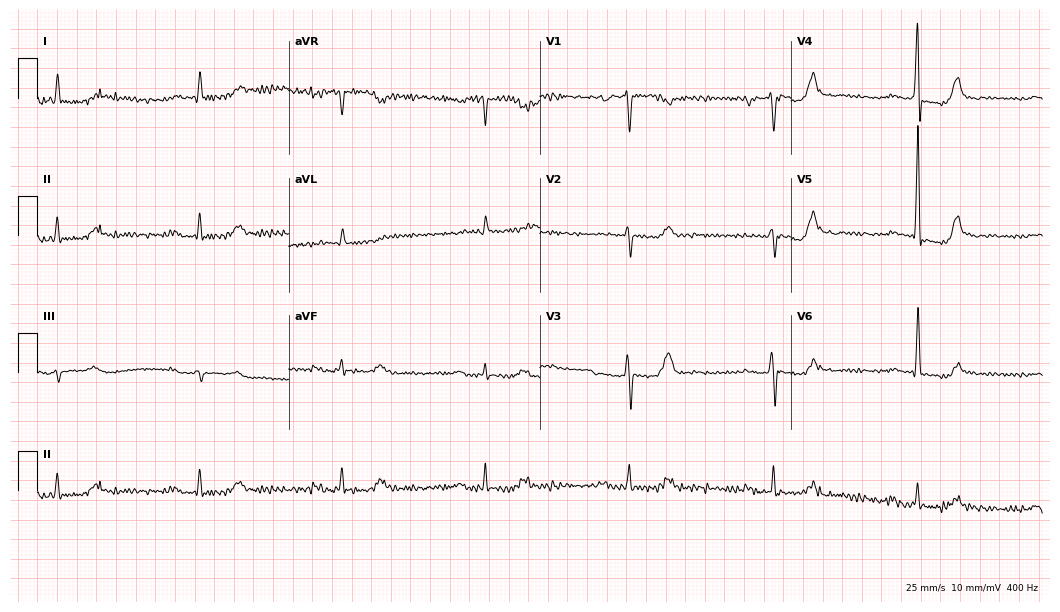
Resting 12-lead electrocardiogram. Patient: a 78-year-old male. None of these six findings is recorded: first-degree AV block, right bundle branch block, left bundle branch block, sinus bradycardia, atrial fibrillation, sinus tachycardia.